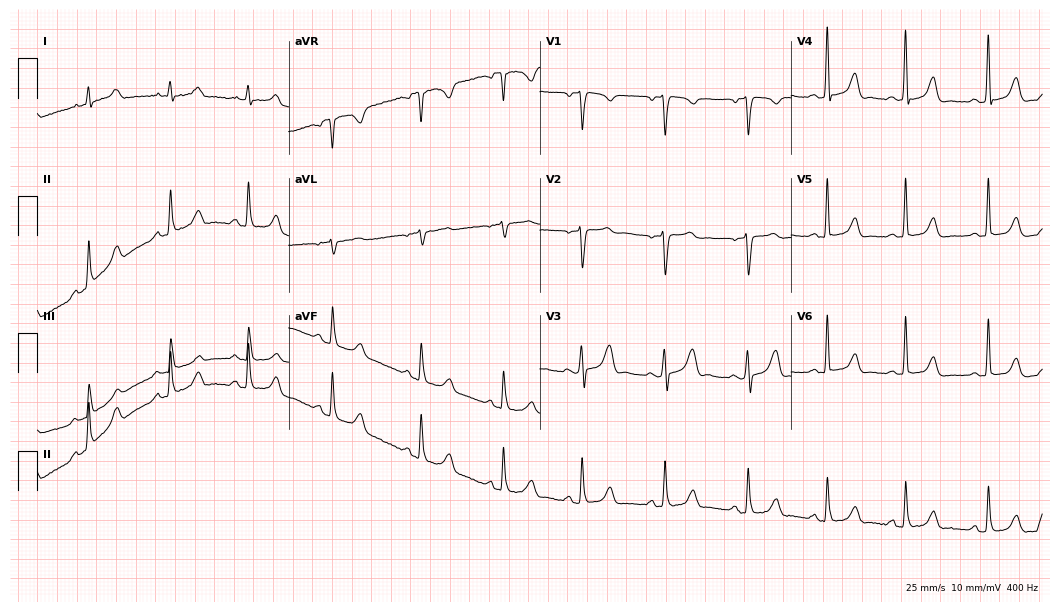
Electrocardiogram (10.2-second recording at 400 Hz), a male, 35 years old. Overall reading on record: normal ECG.